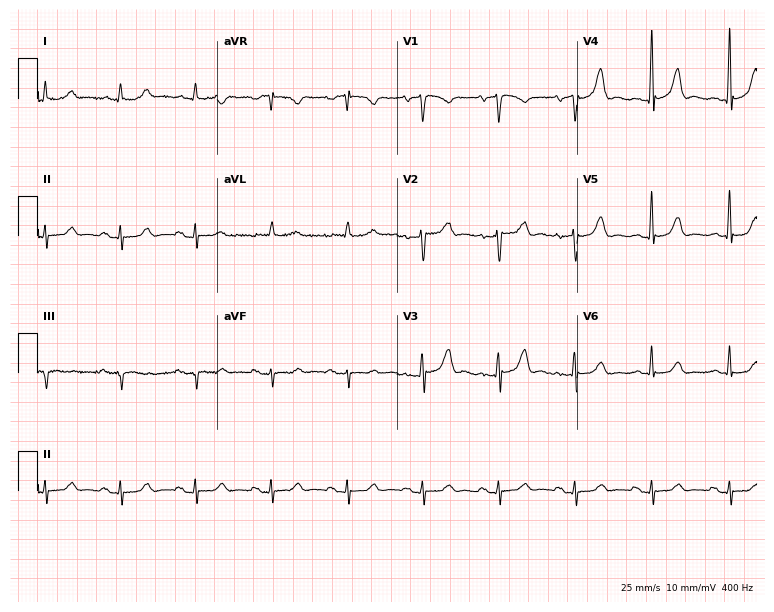
Electrocardiogram (7.3-second recording at 400 Hz), a female, 84 years old. Overall reading on record: normal ECG.